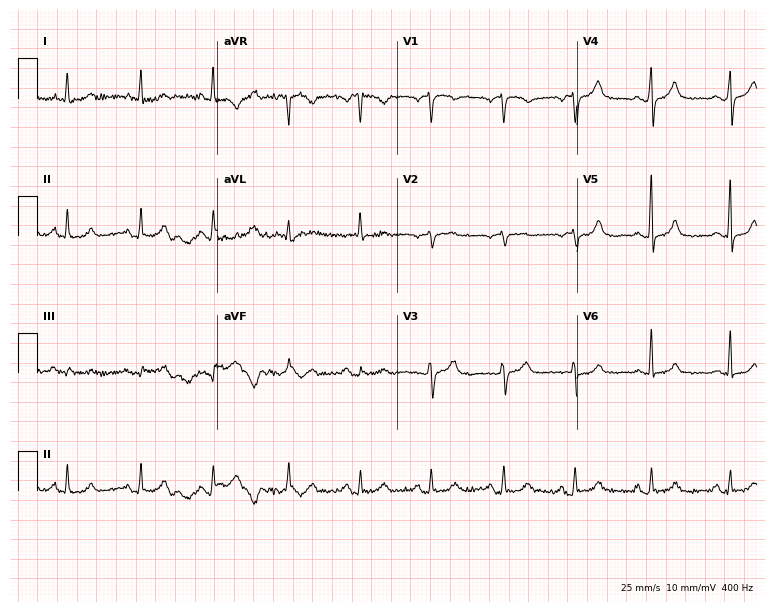
ECG — a woman, 55 years old. Labelled as a normal ECG.